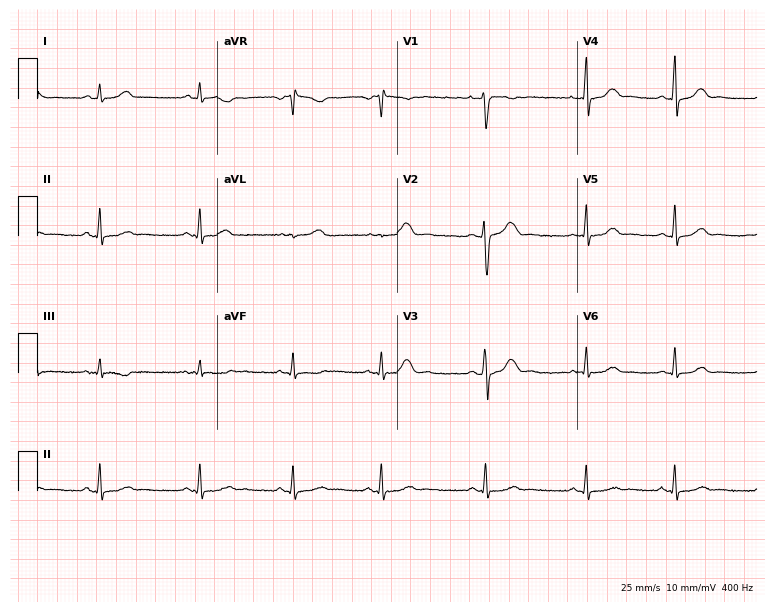
12-lead ECG from a female patient, 36 years old. Recorded interpretation: within normal limits.